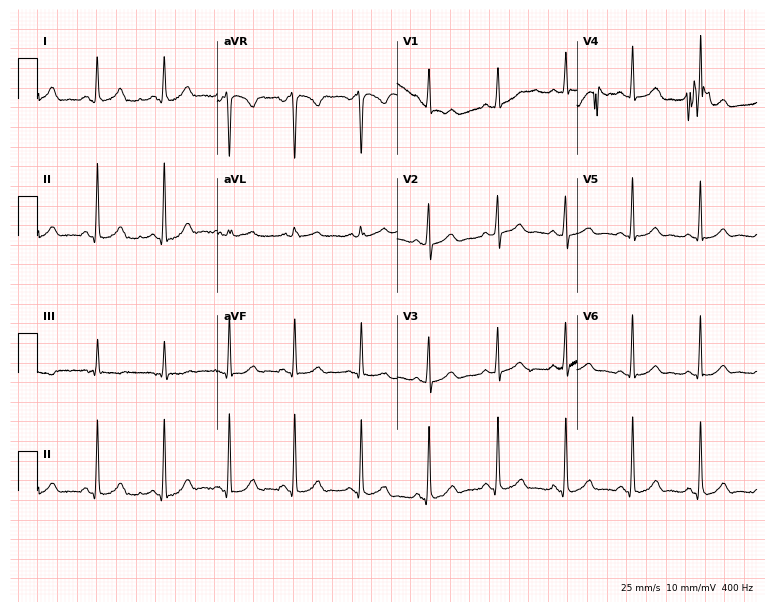
12-lead ECG (7.3-second recording at 400 Hz) from a 30-year-old female patient. Labelled as a normal ECG.